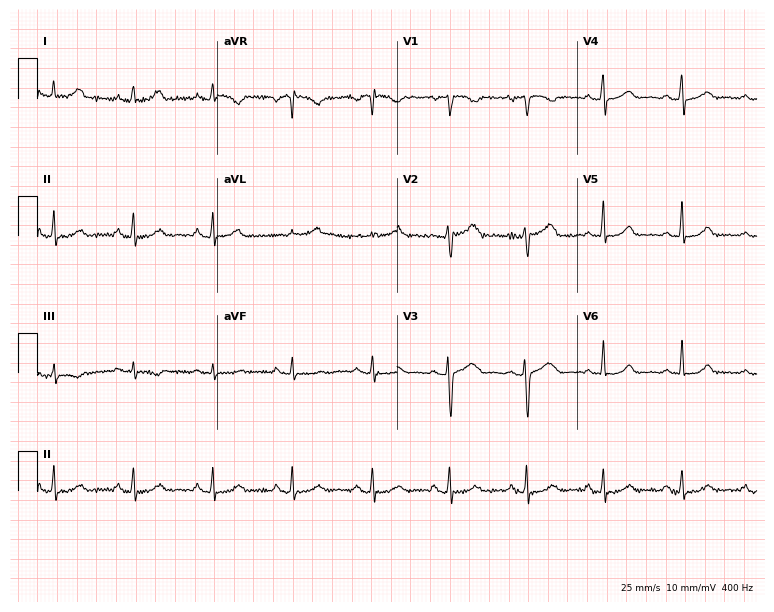
12-lead ECG from a 47-year-old female patient. No first-degree AV block, right bundle branch block, left bundle branch block, sinus bradycardia, atrial fibrillation or sinus tachycardia recorded for this tracing.